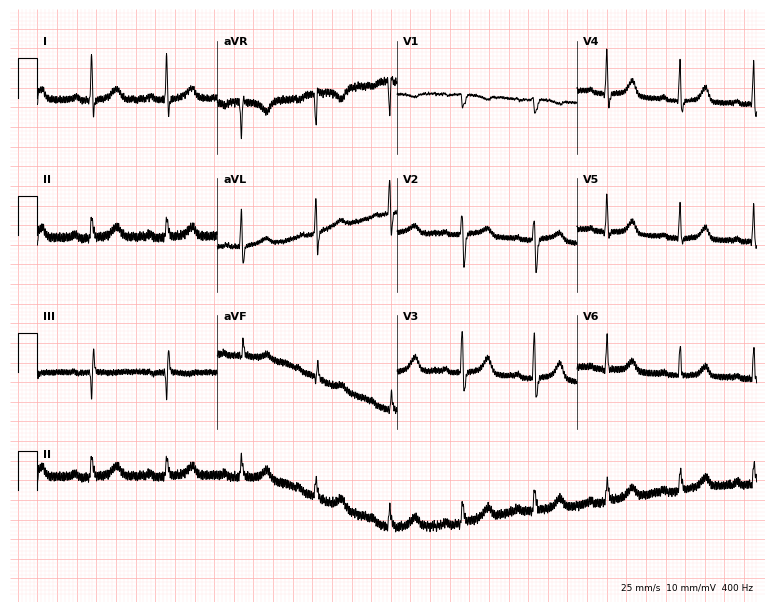
Standard 12-lead ECG recorded from a 78-year-old woman (7.3-second recording at 400 Hz). None of these six findings is recorded: first-degree AV block, right bundle branch block, left bundle branch block, sinus bradycardia, atrial fibrillation, sinus tachycardia.